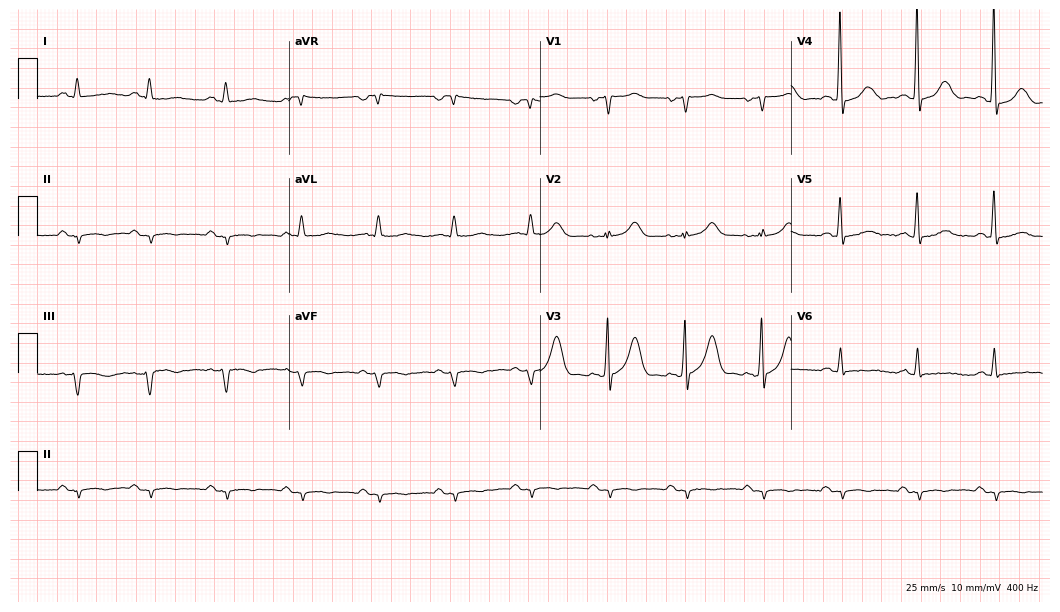
12-lead ECG from an 81-year-old male patient. Screened for six findings — first-degree AV block, right bundle branch block, left bundle branch block, sinus bradycardia, atrial fibrillation, sinus tachycardia — none is recorded. Findings outside these six are not listed.